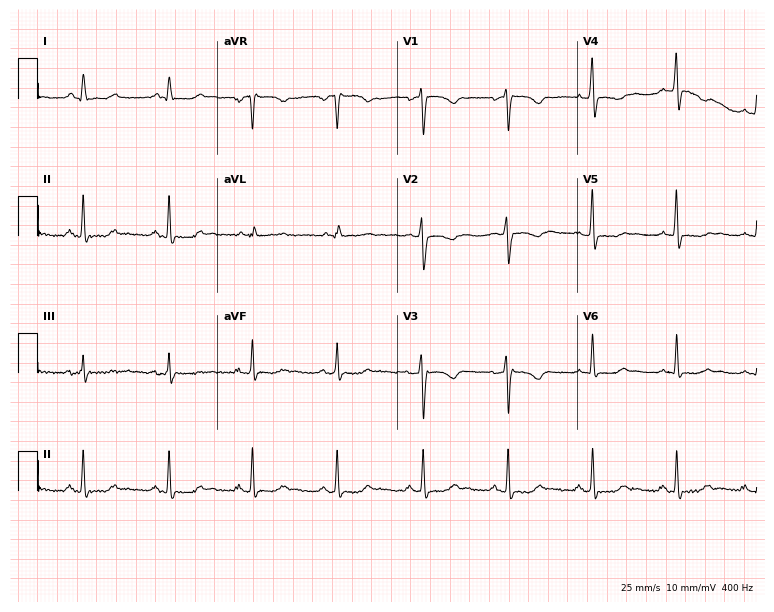
ECG (7.3-second recording at 400 Hz) — a female patient, 35 years old. Screened for six findings — first-degree AV block, right bundle branch block (RBBB), left bundle branch block (LBBB), sinus bradycardia, atrial fibrillation (AF), sinus tachycardia — none is recorded. Other findings, if any, are not listed.